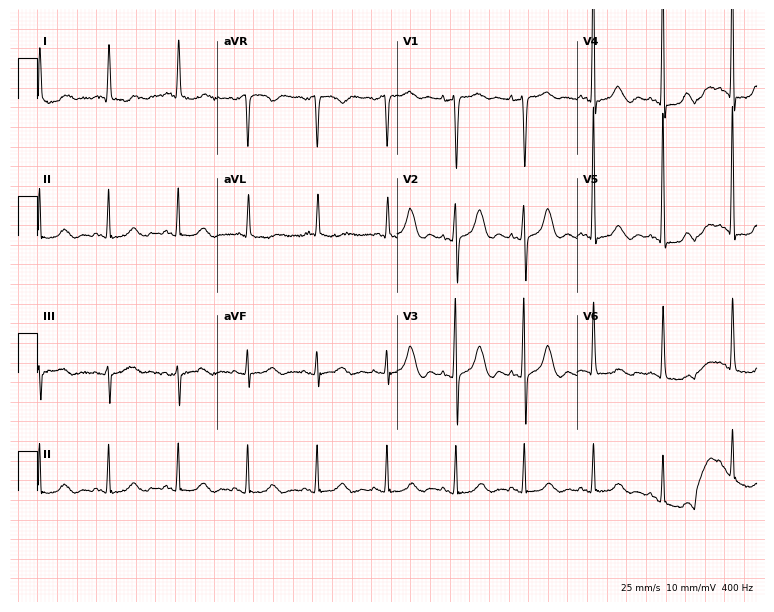
12-lead ECG from a female patient, 85 years old. Screened for six findings — first-degree AV block, right bundle branch block, left bundle branch block, sinus bradycardia, atrial fibrillation, sinus tachycardia — none is recorded.